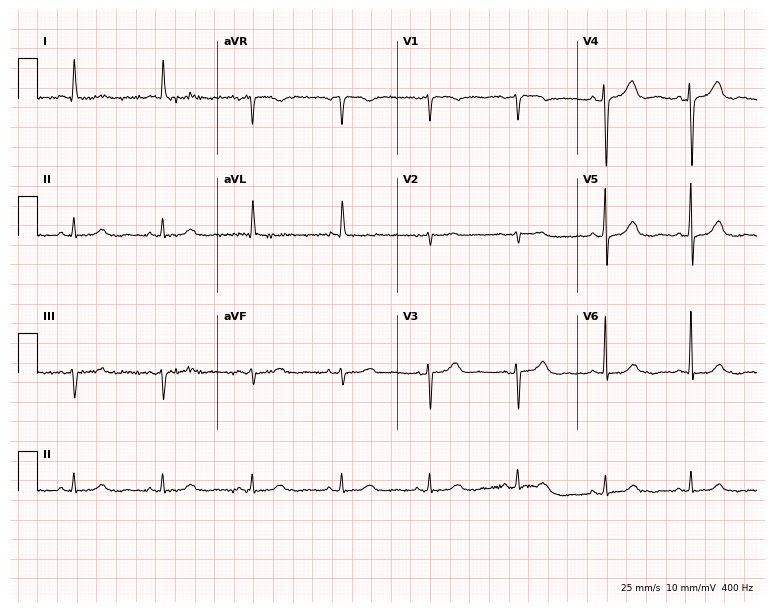
12-lead ECG from a 68-year-old female. No first-degree AV block, right bundle branch block, left bundle branch block, sinus bradycardia, atrial fibrillation or sinus tachycardia recorded for this tracing.